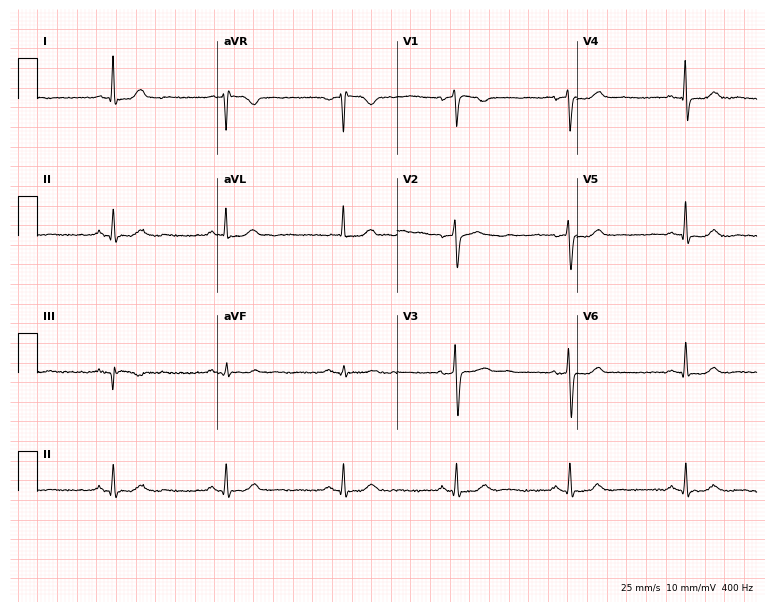
Standard 12-lead ECG recorded from a female patient, 49 years old. Read as a normal ECG.